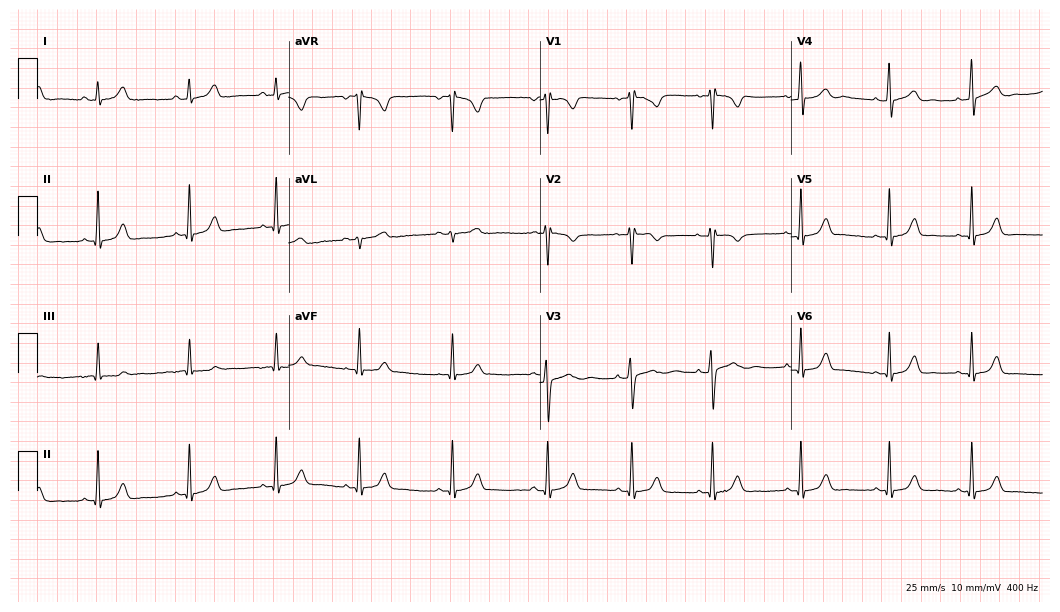
Standard 12-lead ECG recorded from a 20-year-old female (10.2-second recording at 400 Hz). Read as a normal ECG.